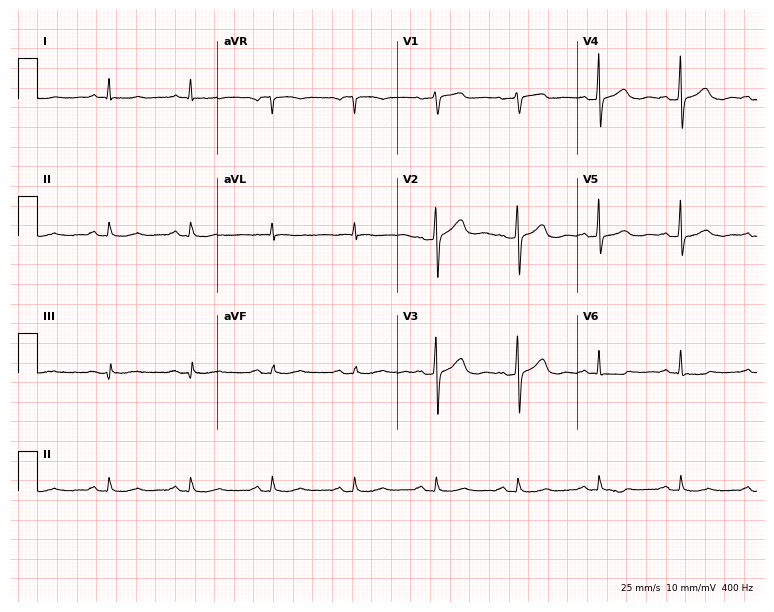
Electrocardiogram (7.3-second recording at 400 Hz), an 82-year-old male patient. Overall reading on record: normal ECG.